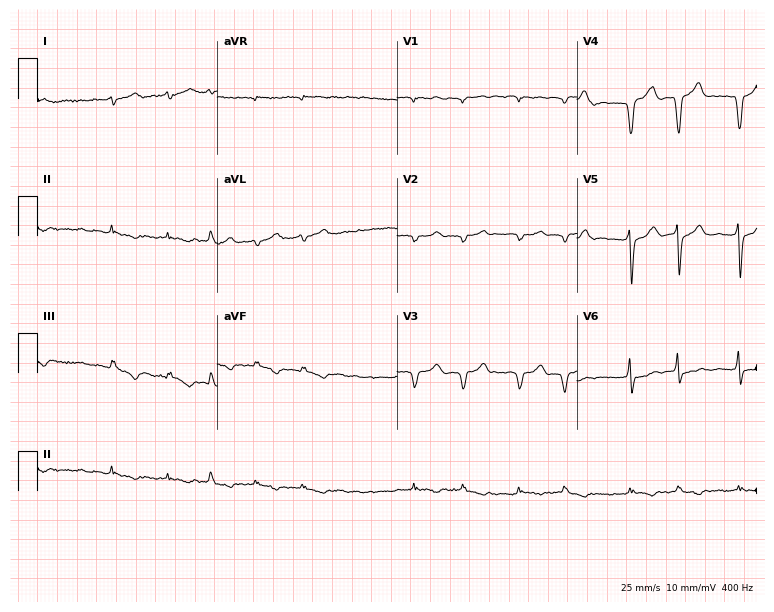
12-lead ECG from a 68-year-old male patient (7.3-second recording at 400 Hz). Shows atrial fibrillation (AF).